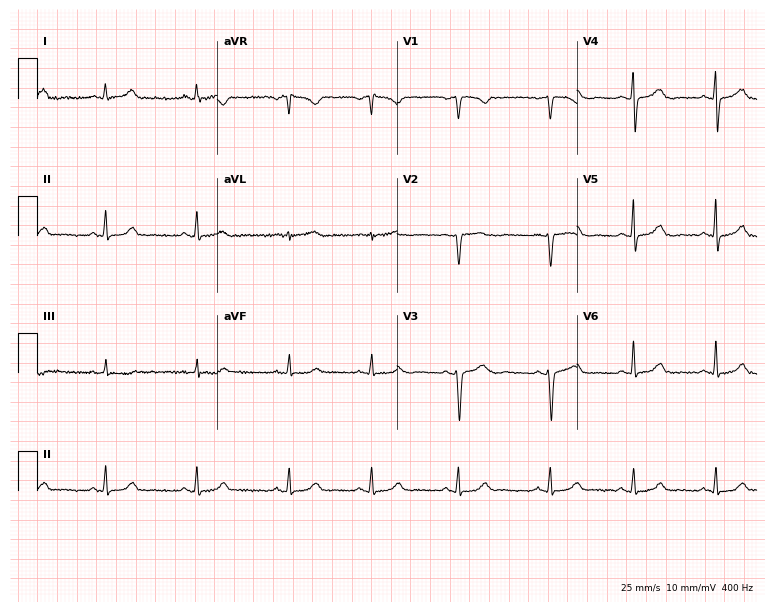
12-lead ECG from a female patient, 31 years old. Labelled as a normal ECG.